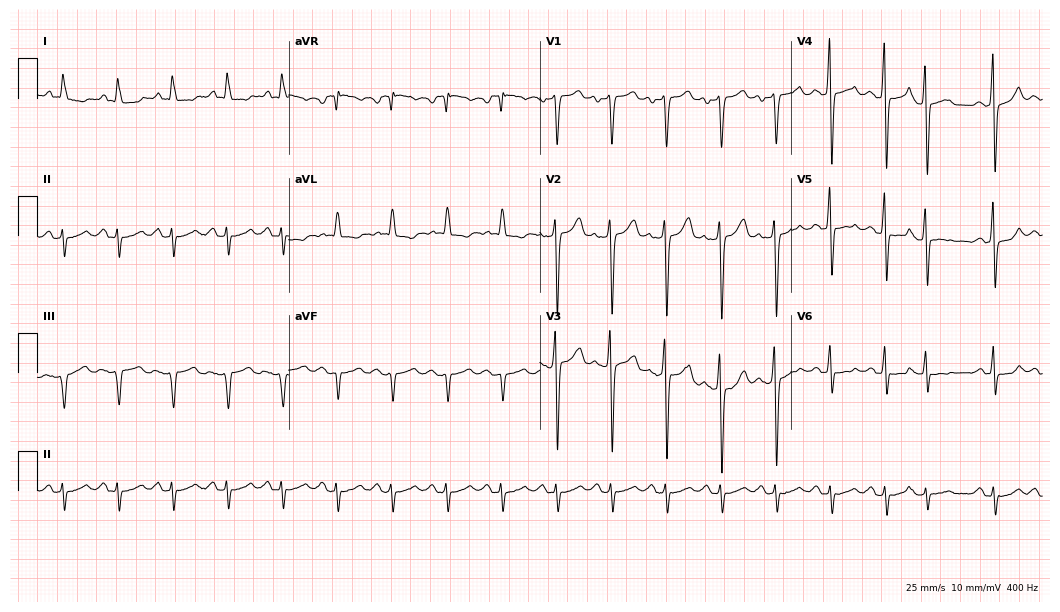
ECG — a male patient, 63 years old. Screened for six findings — first-degree AV block, right bundle branch block (RBBB), left bundle branch block (LBBB), sinus bradycardia, atrial fibrillation (AF), sinus tachycardia — none is recorded.